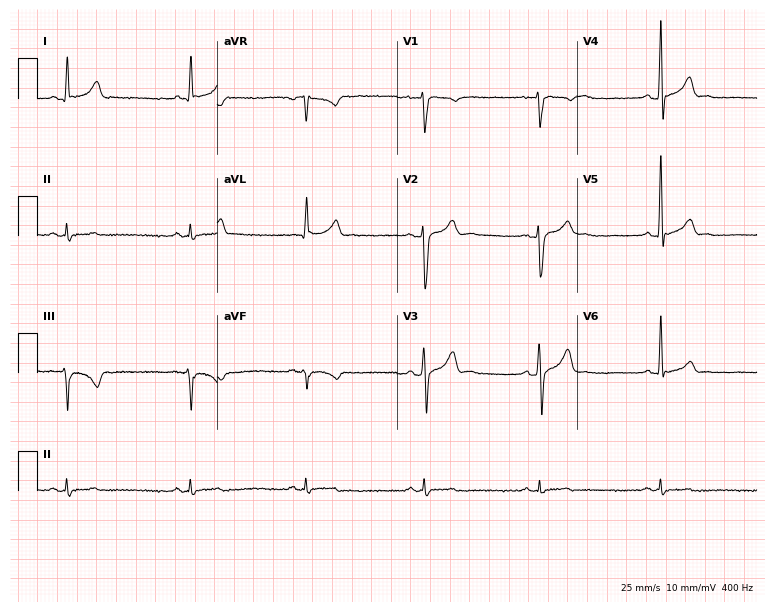
Resting 12-lead electrocardiogram. Patient: a 39-year-old man. The tracing shows sinus bradycardia (a sinus rate of 50 beats per minute or less).